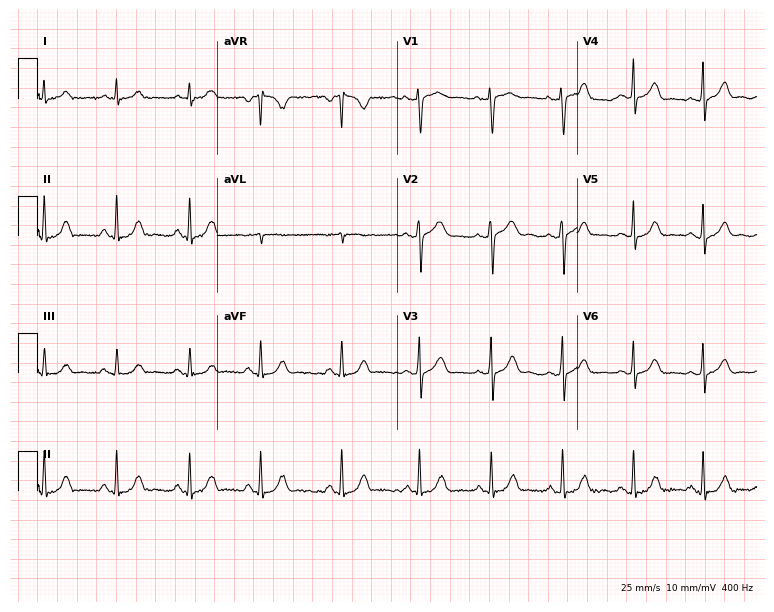
ECG (7.3-second recording at 400 Hz) — a 21-year-old female patient. Screened for six findings — first-degree AV block, right bundle branch block, left bundle branch block, sinus bradycardia, atrial fibrillation, sinus tachycardia — none is recorded.